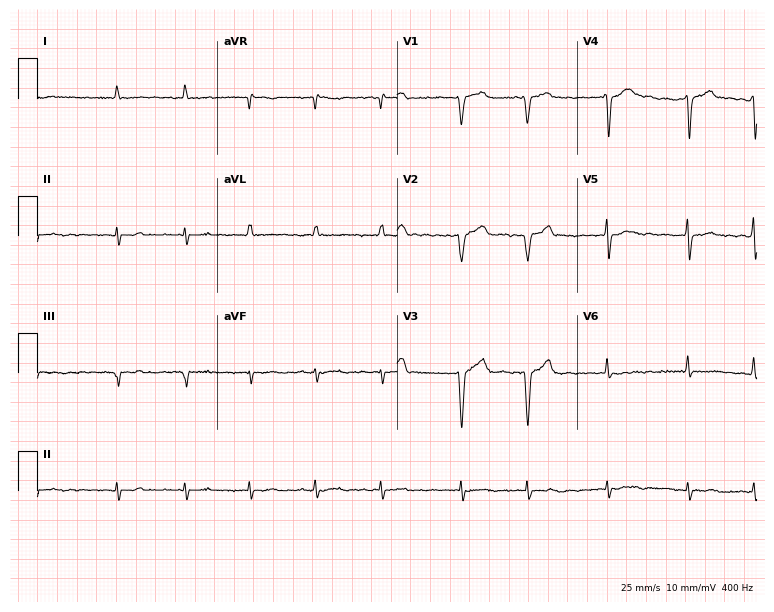
12-lead ECG from a 69-year-old male patient. No first-degree AV block, right bundle branch block, left bundle branch block, sinus bradycardia, atrial fibrillation or sinus tachycardia recorded for this tracing.